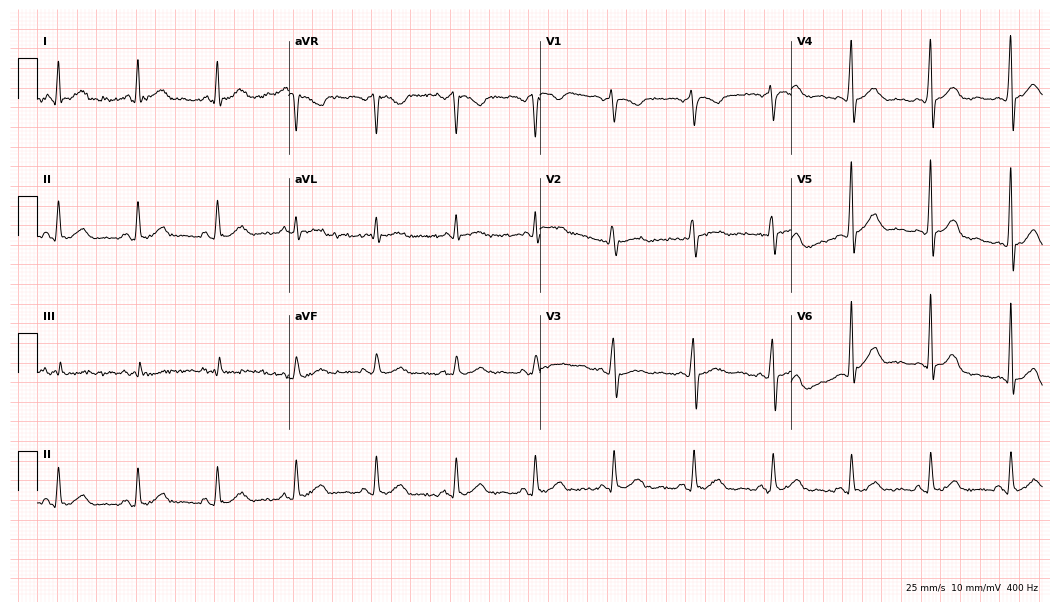
12-lead ECG (10.2-second recording at 400 Hz) from a male, 45 years old. Labelled as a normal ECG.